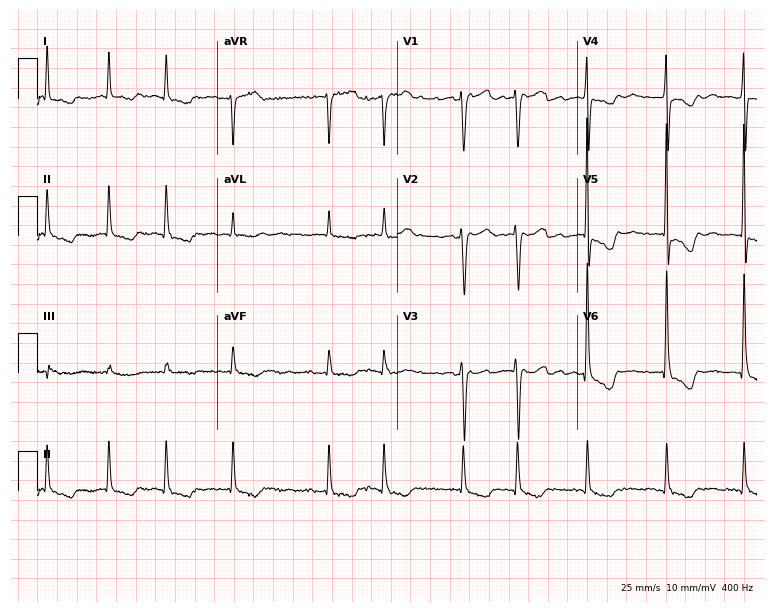
Standard 12-lead ECG recorded from a female, 85 years old (7.3-second recording at 400 Hz). The tracing shows atrial fibrillation.